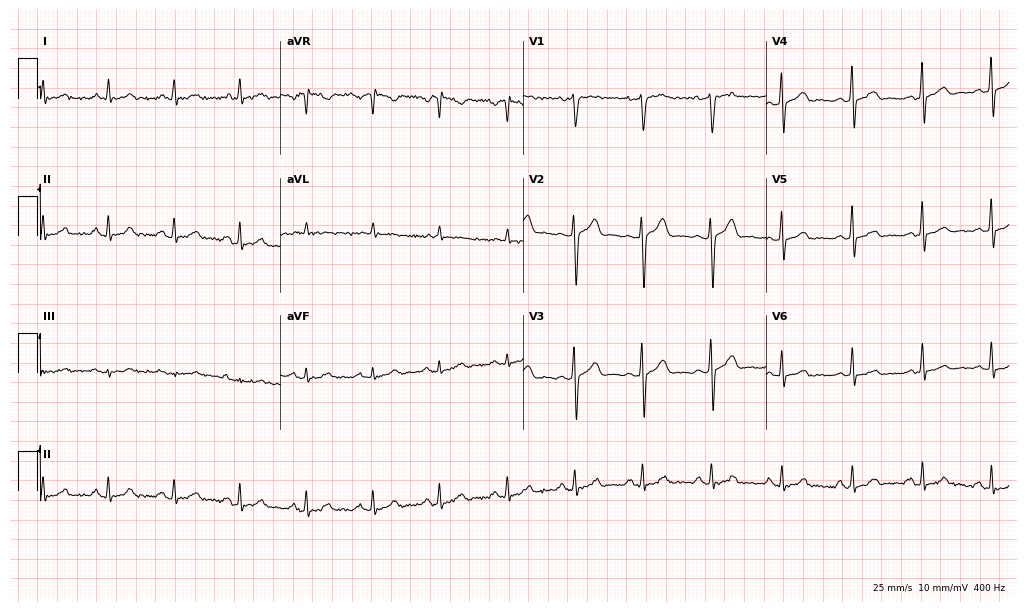
12-lead ECG (9.9-second recording at 400 Hz) from a 34-year-old male. Labelled as a normal ECG.